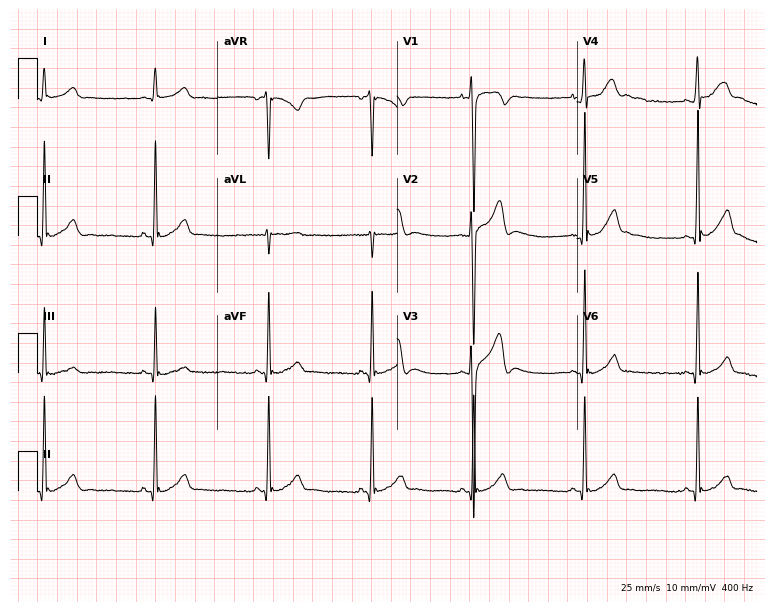
Resting 12-lead electrocardiogram. Patient: a male, 17 years old. Read as a normal ECG.